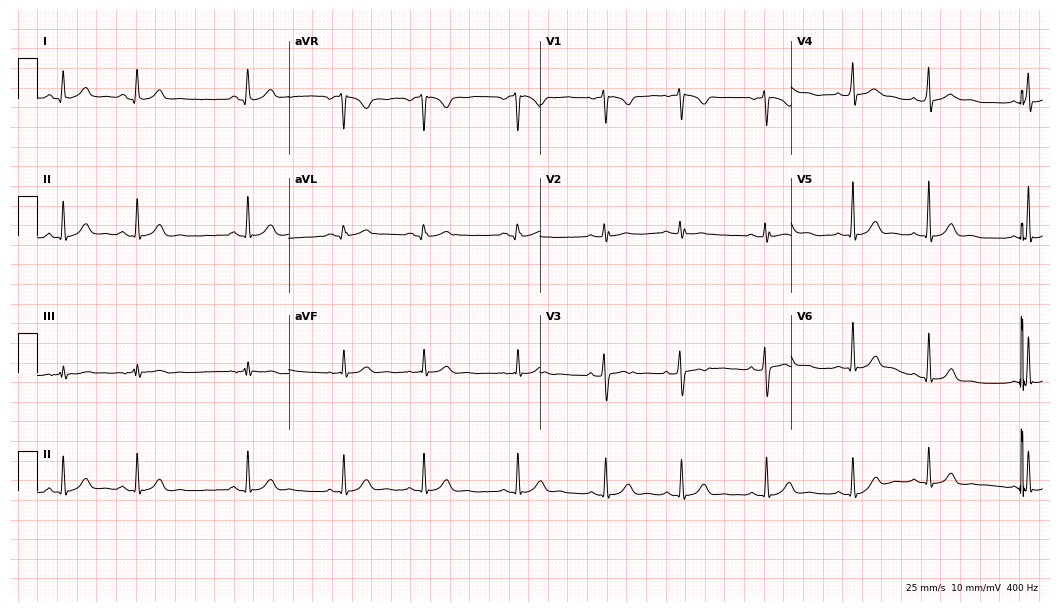
Electrocardiogram, a 22-year-old female. Overall reading on record: normal ECG.